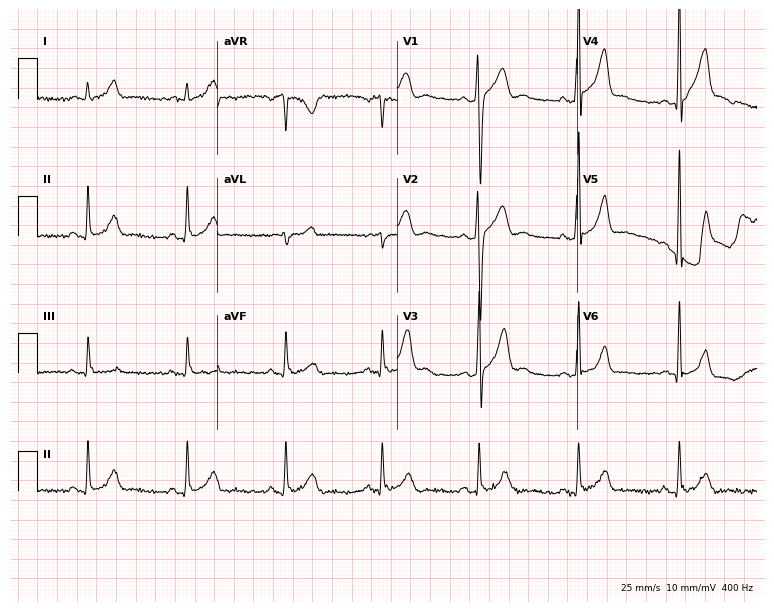
ECG (7.3-second recording at 400 Hz) — a 35-year-old male patient. Screened for six findings — first-degree AV block, right bundle branch block (RBBB), left bundle branch block (LBBB), sinus bradycardia, atrial fibrillation (AF), sinus tachycardia — none is recorded.